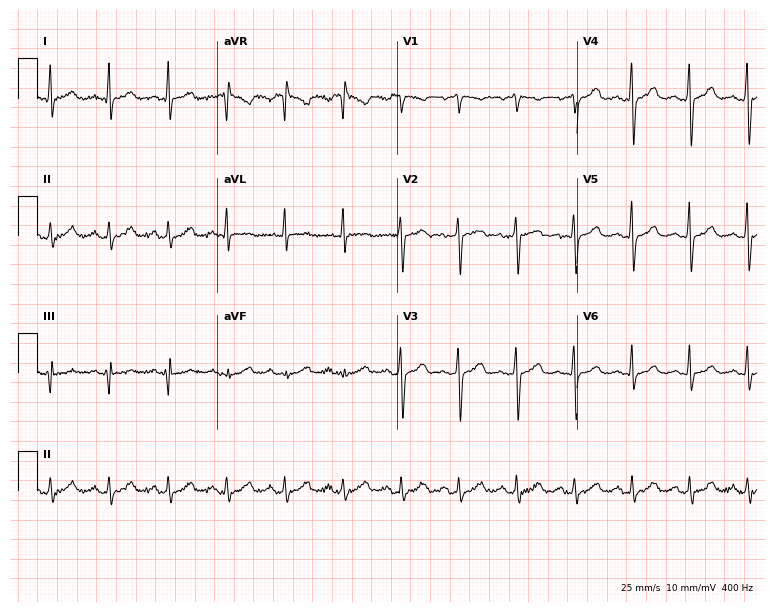
Electrocardiogram (7.3-second recording at 400 Hz), a 47-year-old male patient. Interpretation includes sinus tachycardia (a sinus rate of 100 beats per minute or more).